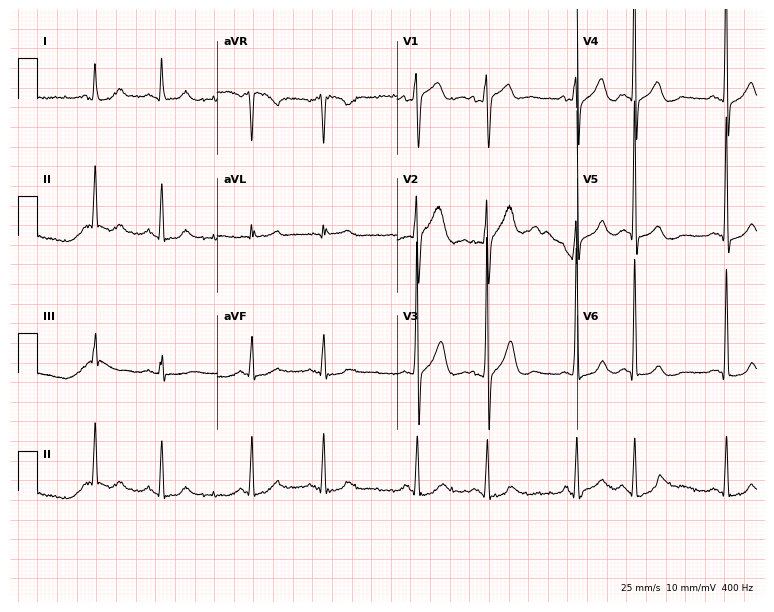
12-lead ECG from a male patient, 55 years old (7.3-second recording at 400 Hz). No first-degree AV block, right bundle branch block, left bundle branch block, sinus bradycardia, atrial fibrillation or sinus tachycardia recorded for this tracing. Findings outside these six are not listed.